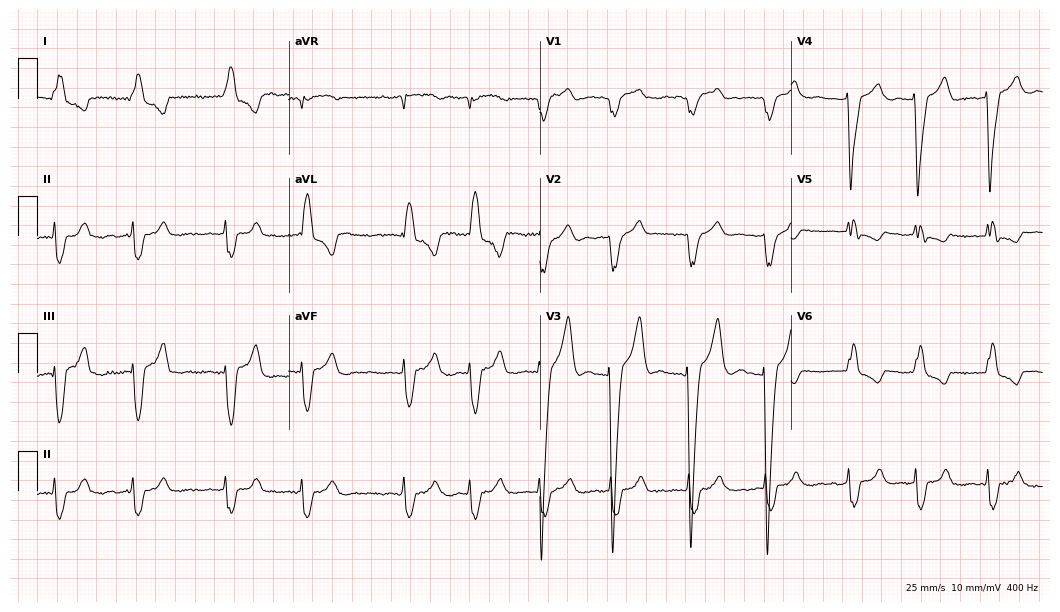
Electrocardiogram, an 80-year-old female patient. Interpretation includes left bundle branch block, atrial fibrillation.